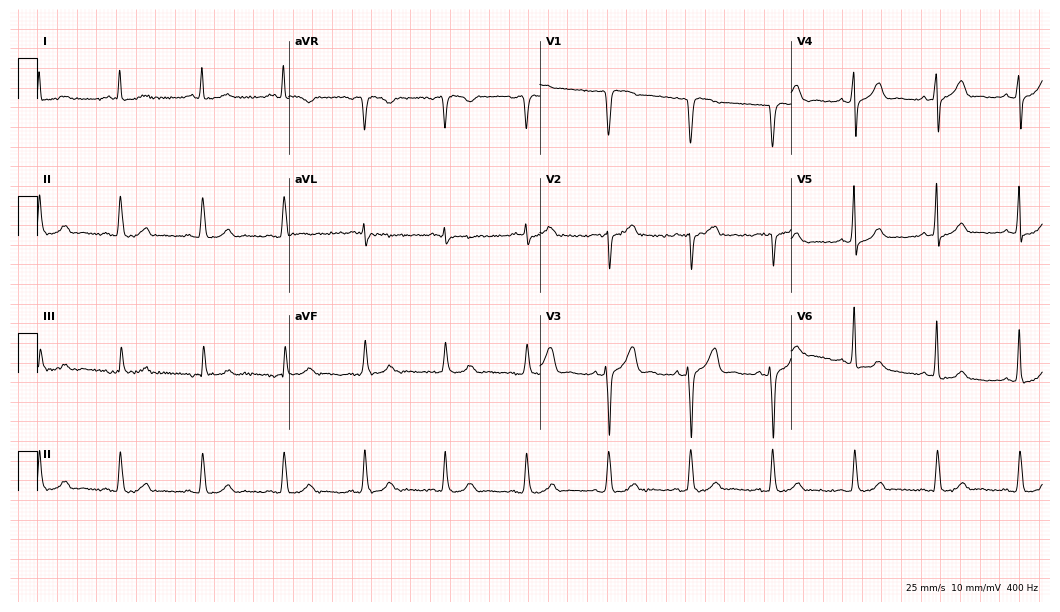
Resting 12-lead electrocardiogram. Patient: a male, 78 years old. None of these six findings is recorded: first-degree AV block, right bundle branch block (RBBB), left bundle branch block (LBBB), sinus bradycardia, atrial fibrillation (AF), sinus tachycardia. Only these six findings were labelled.